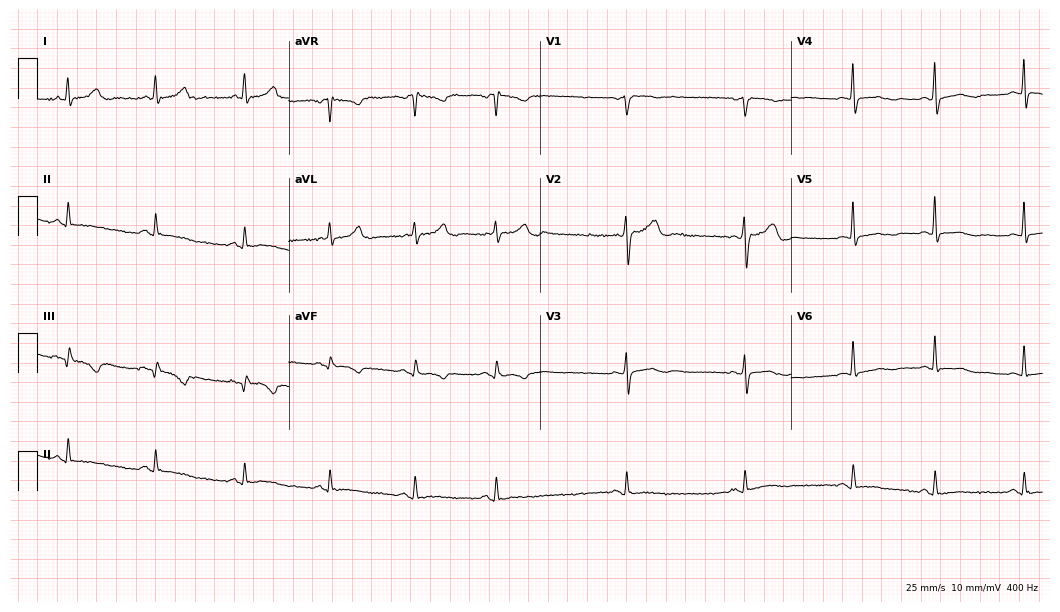
12-lead ECG from a 64-year-old woman. Screened for six findings — first-degree AV block, right bundle branch block, left bundle branch block, sinus bradycardia, atrial fibrillation, sinus tachycardia — none is recorded.